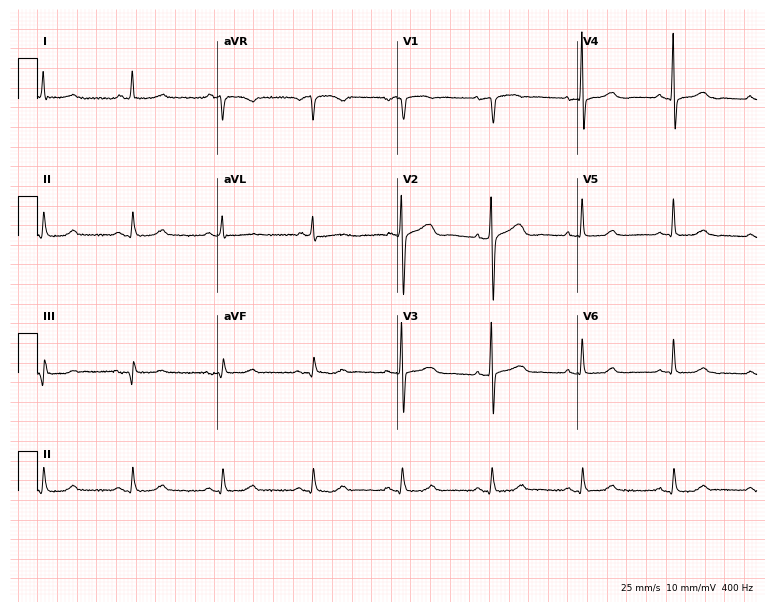
Resting 12-lead electrocardiogram (7.3-second recording at 400 Hz). Patient: a 75-year-old female. Read as a normal ECG.